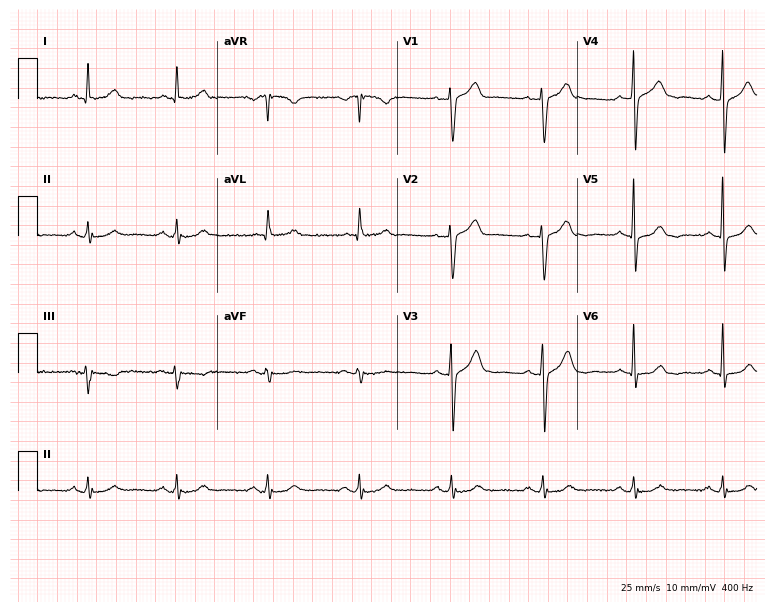
12-lead ECG from a male patient, 71 years old (7.3-second recording at 400 Hz). No first-degree AV block, right bundle branch block, left bundle branch block, sinus bradycardia, atrial fibrillation or sinus tachycardia recorded for this tracing. Findings outside these six are not listed.